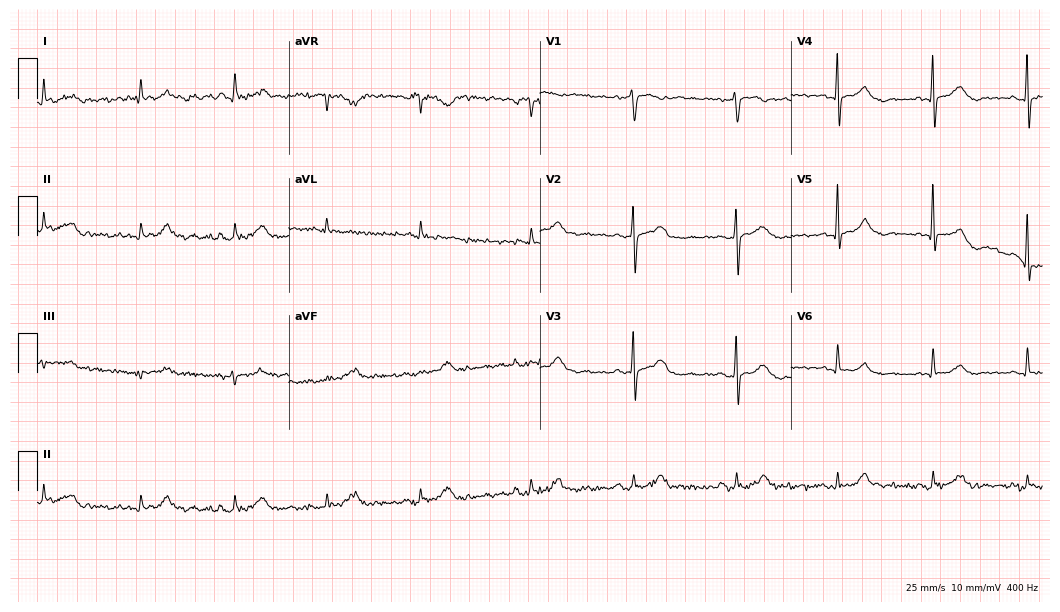
Standard 12-lead ECG recorded from a 76-year-old male patient (10.2-second recording at 400 Hz). Read as a normal ECG.